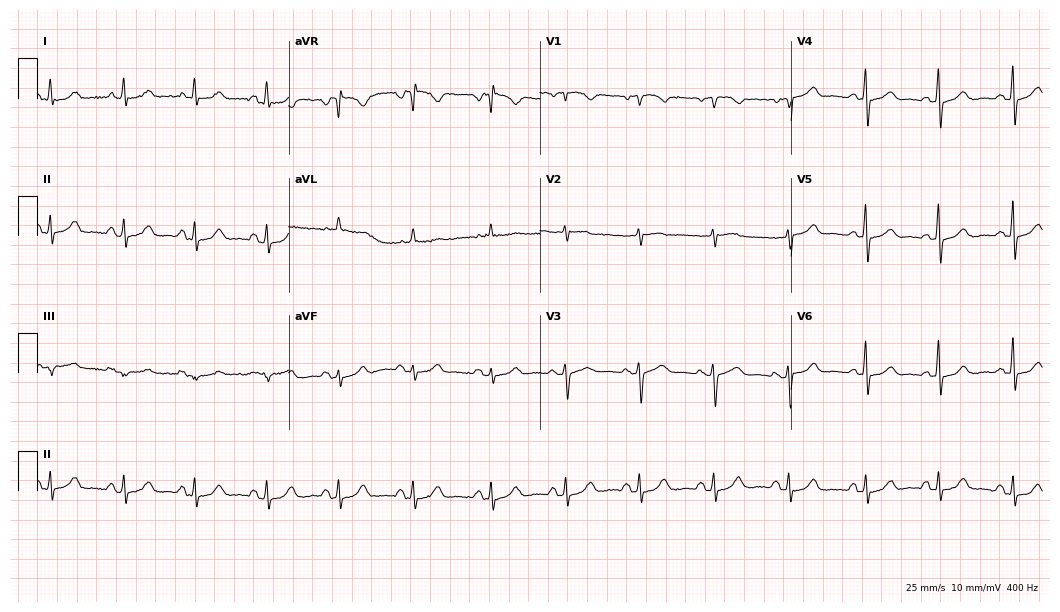
12-lead ECG (10.2-second recording at 400 Hz) from a 73-year-old female. Labelled as a normal ECG.